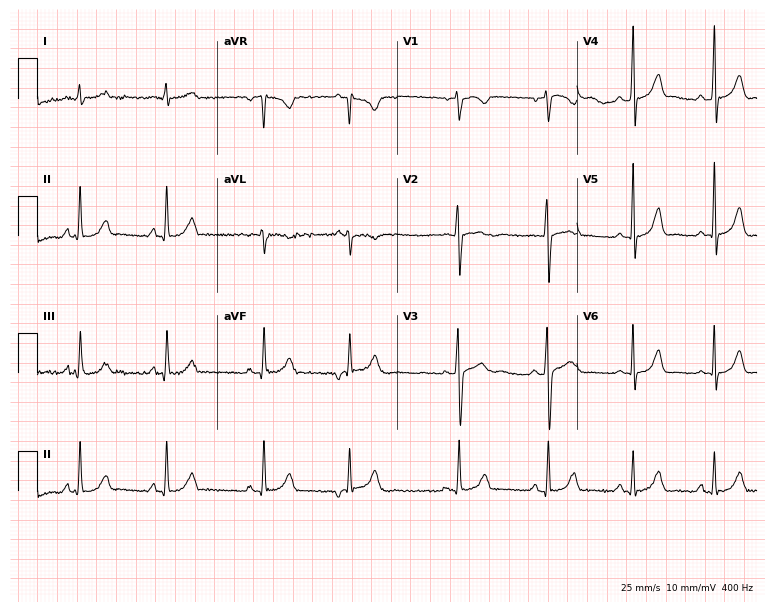
Standard 12-lead ECG recorded from a 17-year-old male patient (7.3-second recording at 400 Hz). None of these six findings is recorded: first-degree AV block, right bundle branch block, left bundle branch block, sinus bradycardia, atrial fibrillation, sinus tachycardia.